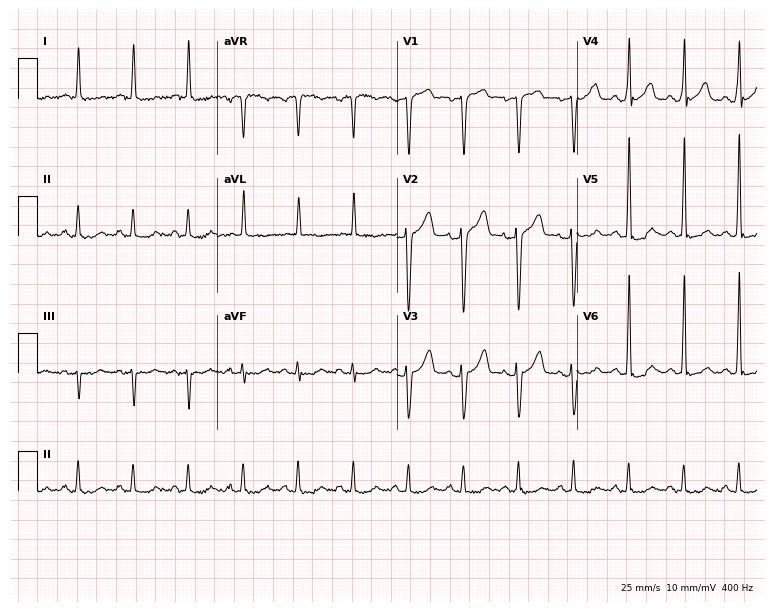
ECG (7.3-second recording at 400 Hz) — a male patient, 69 years old. Findings include sinus tachycardia (a sinus rate of 100 beats per minute or more).